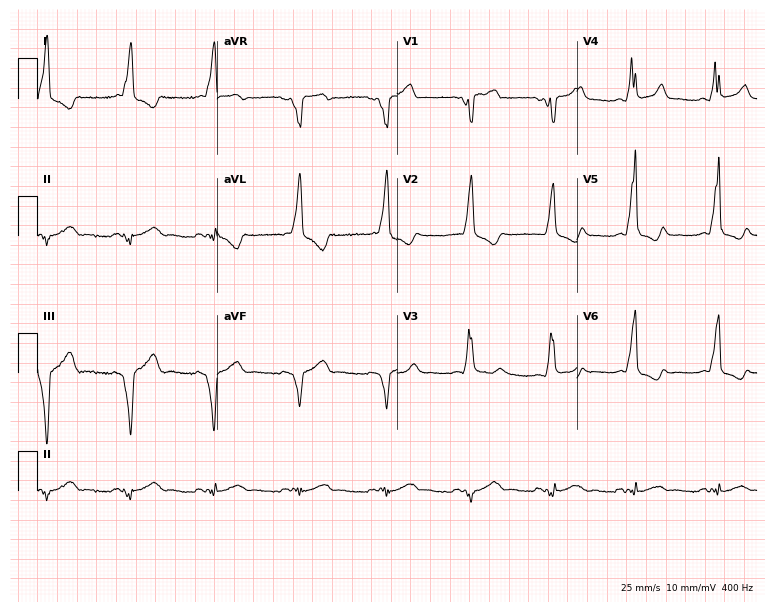
ECG — a 40-year-old male. Findings include left bundle branch block.